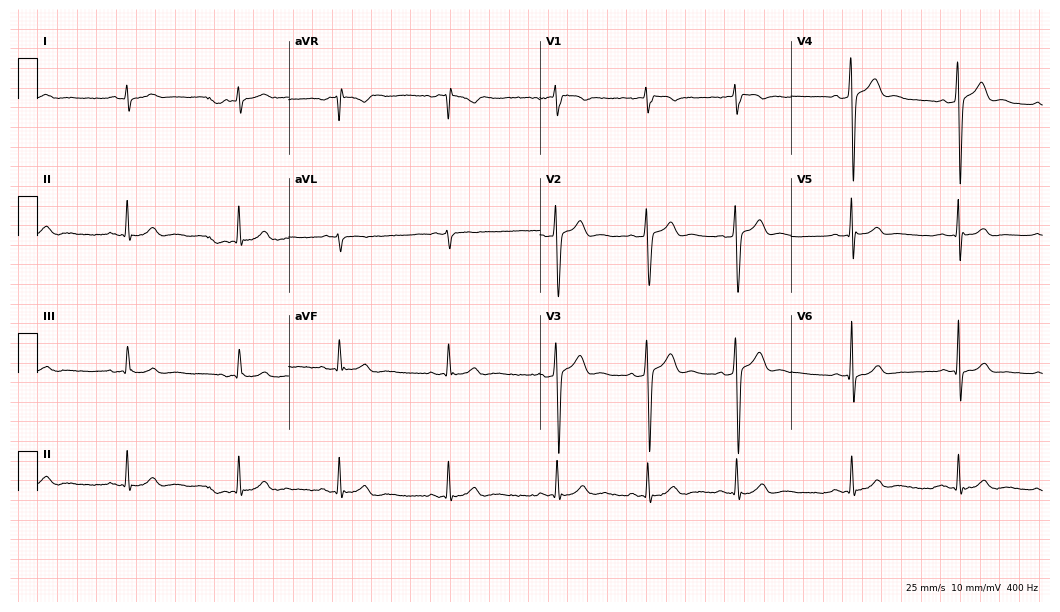
12-lead ECG from a 21-year-old male. Recorded interpretation: within normal limits.